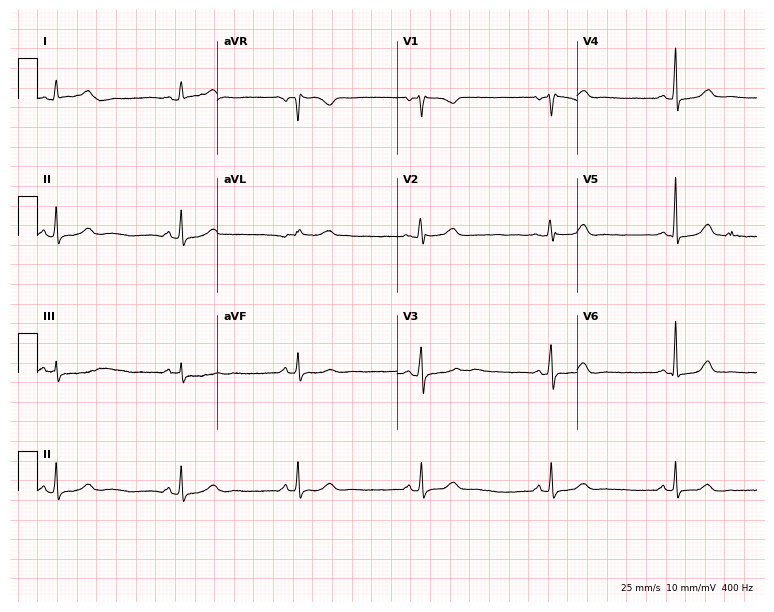
Resting 12-lead electrocardiogram. Patient: a 42-year-old female. Read as a normal ECG.